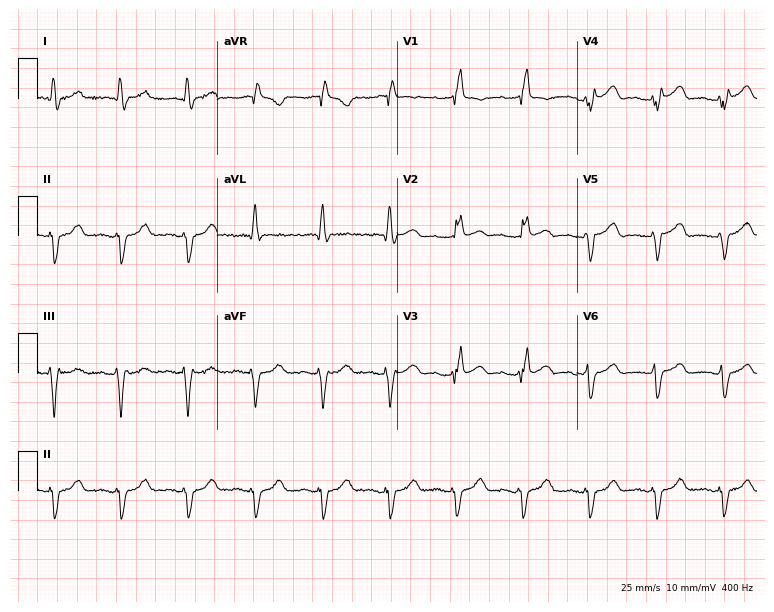
12-lead ECG from an 80-year-old female patient (7.3-second recording at 400 Hz). No first-degree AV block, right bundle branch block, left bundle branch block, sinus bradycardia, atrial fibrillation or sinus tachycardia recorded for this tracing. Only these six findings were labelled.